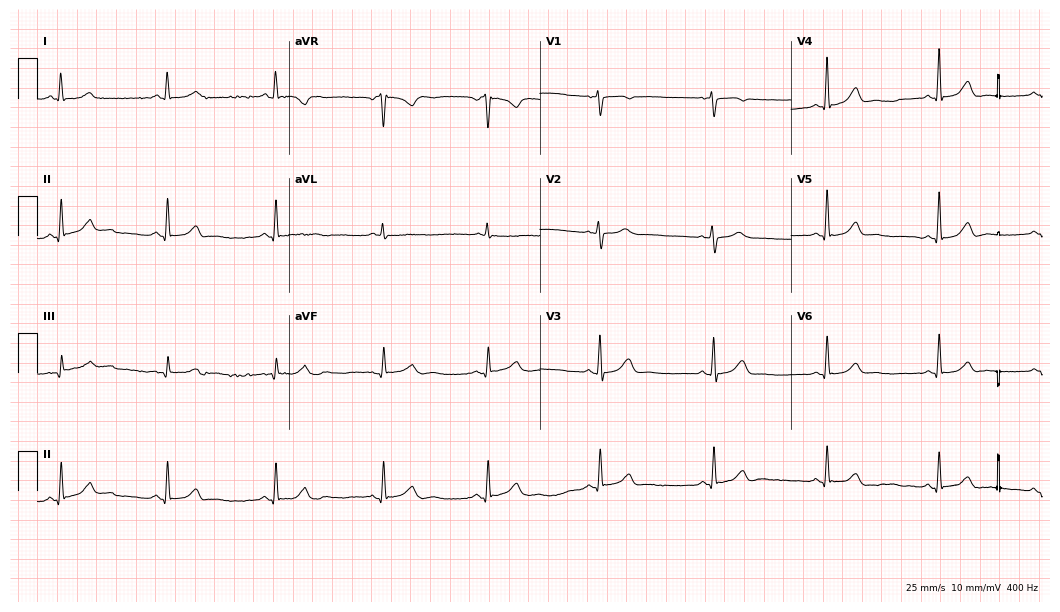
Standard 12-lead ECG recorded from a female, 68 years old (10.2-second recording at 400 Hz). None of these six findings is recorded: first-degree AV block, right bundle branch block, left bundle branch block, sinus bradycardia, atrial fibrillation, sinus tachycardia.